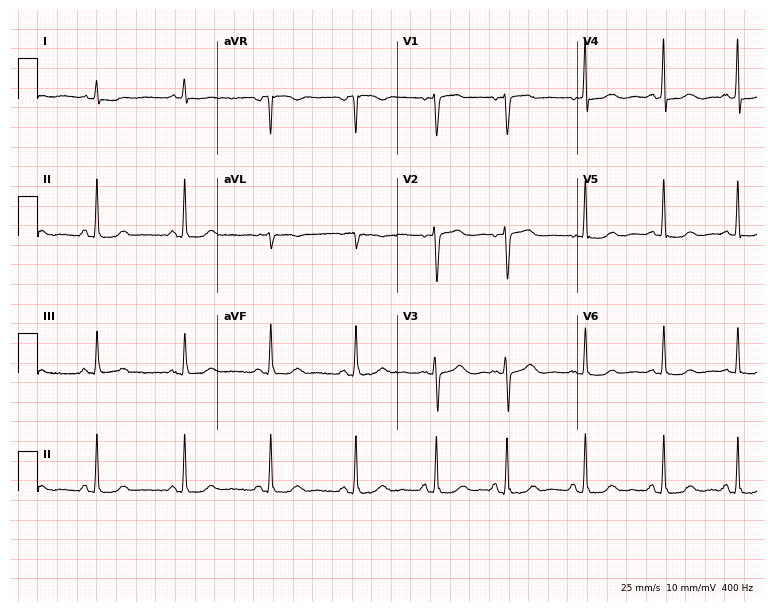
Standard 12-lead ECG recorded from a female, 59 years old. None of these six findings is recorded: first-degree AV block, right bundle branch block, left bundle branch block, sinus bradycardia, atrial fibrillation, sinus tachycardia. Other findings, if any, are not listed.